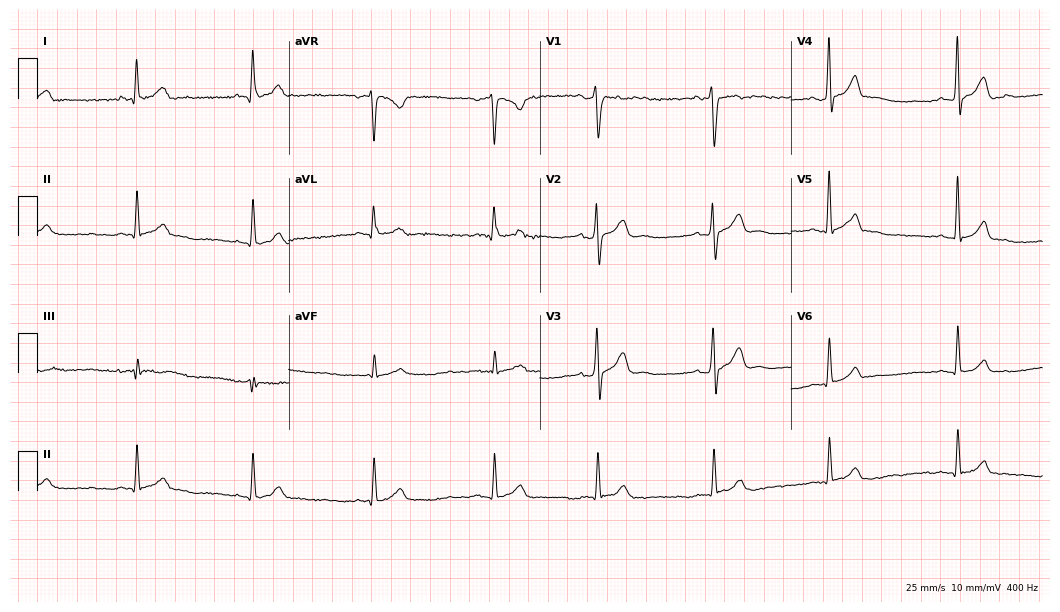
12-lead ECG from a 24-year-old male (10.2-second recording at 400 Hz). Recorded interpretation: within normal limits.